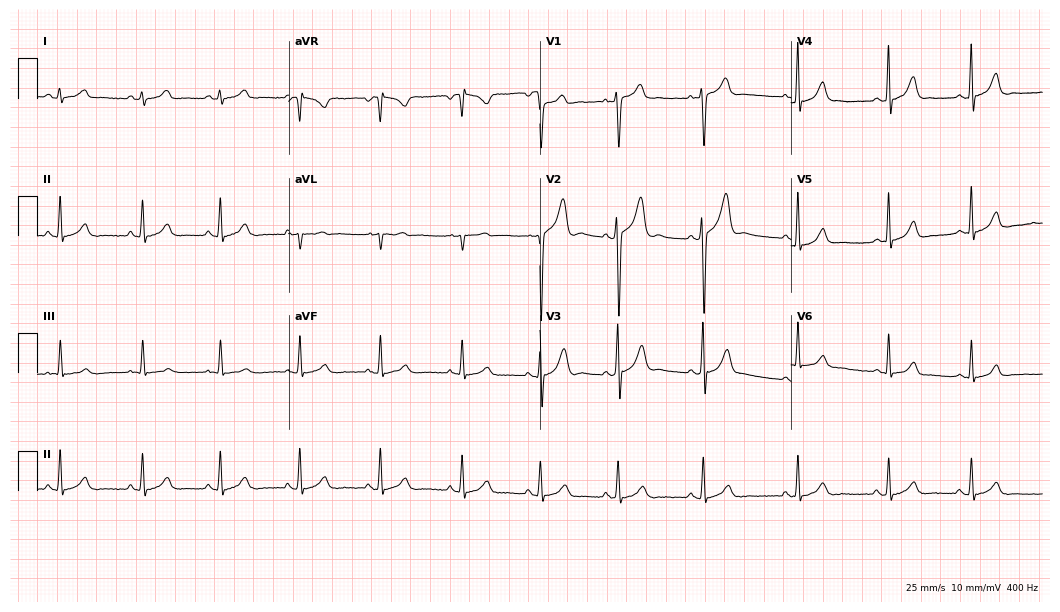
ECG — a man, 17 years old. Labelled as a normal ECG.